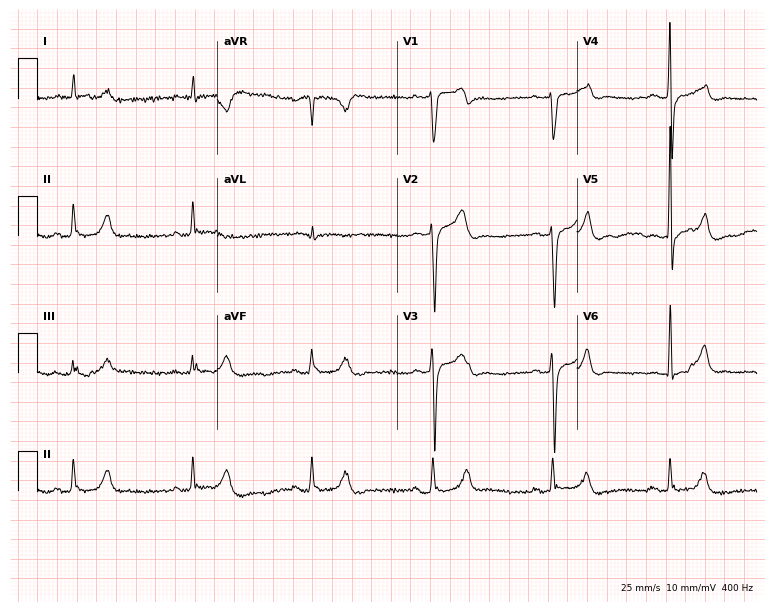
12-lead ECG from a male, 59 years old. Shows sinus bradycardia (a sinus rate of 50 beats per minute or less).